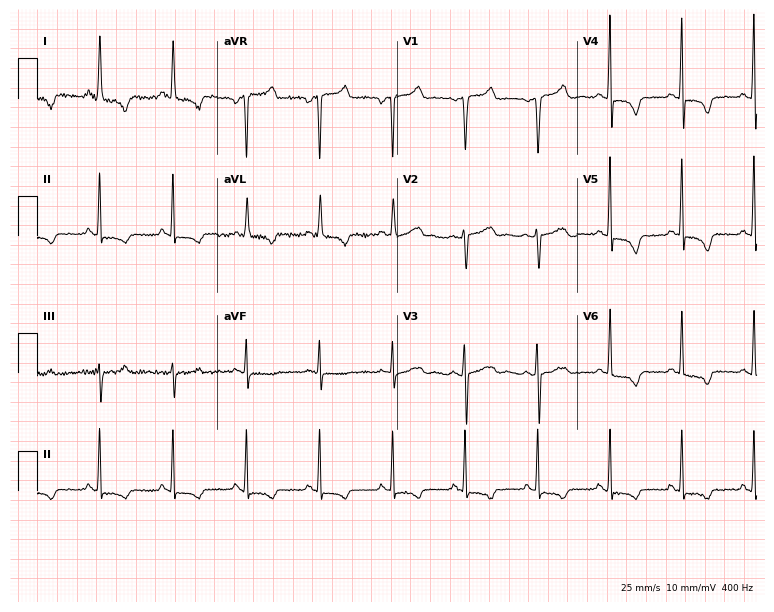
Standard 12-lead ECG recorded from a 49-year-old female patient. None of these six findings is recorded: first-degree AV block, right bundle branch block (RBBB), left bundle branch block (LBBB), sinus bradycardia, atrial fibrillation (AF), sinus tachycardia.